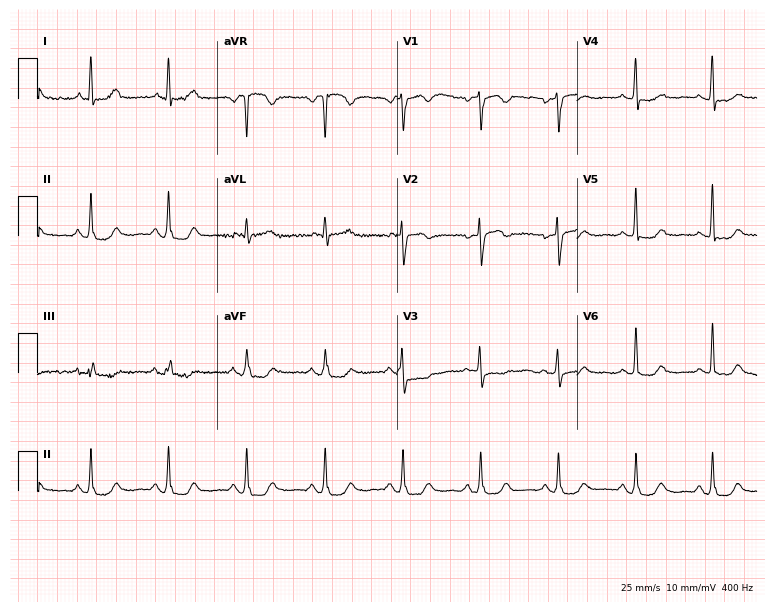
ECG — a 69-year-old female. Screened for six findings — first-degree AV block, right bundle branch block, left bundle branch block, sinus bradycardia, atrial fibrillation, sinus tachycardia — none is recorded. Other findings, if any, are not listed.